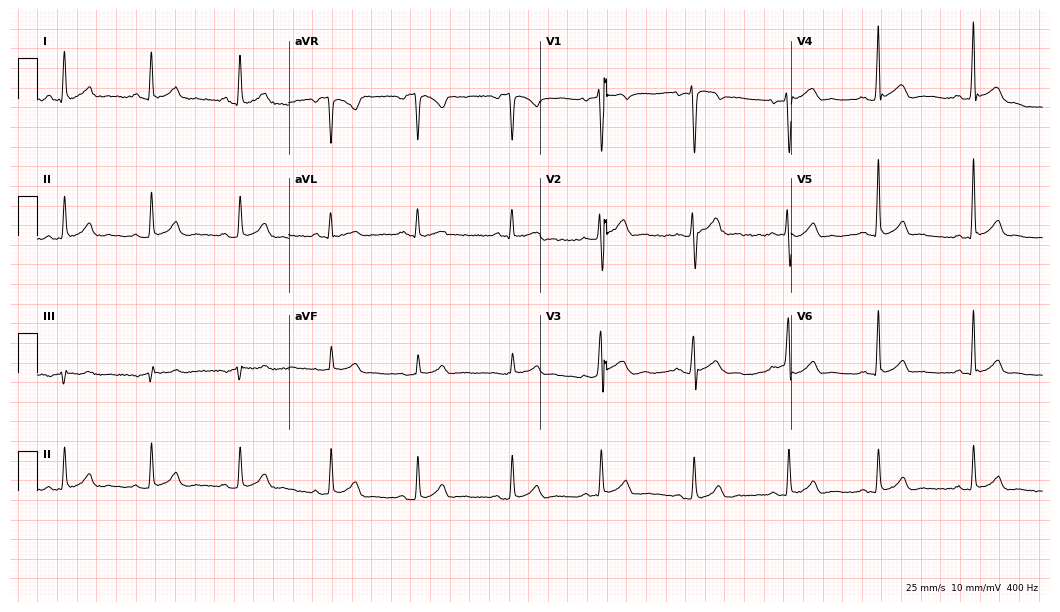
Standard 12-lead ECG recorded from a man, 24 years old. None of these six findings is recorded: first-degree AV block, right bundle branch block (RBBB), left bundle branch block (LBBB), sinus bradycardia, atrial fibrillation (AF), sinus tachycardia.